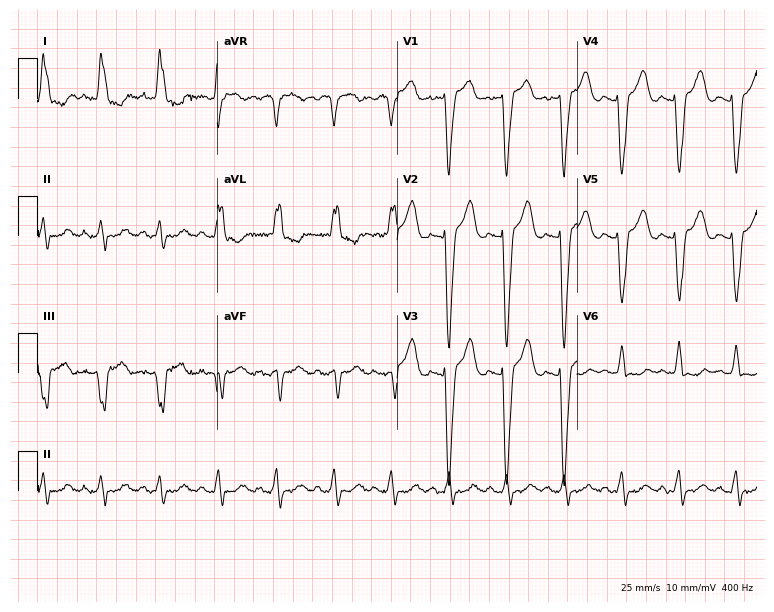
12-lead ECG from a female patient, 50 years old. Shows sinus tachycardia (a sinus rate of 100 beats per minute or more).